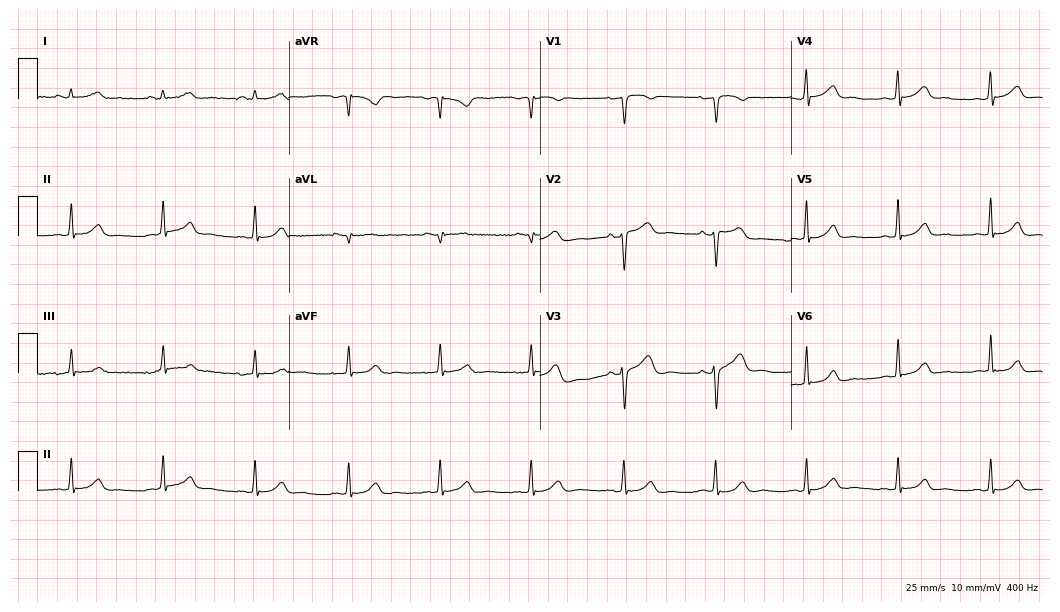
ECG (10.2-second recording at 400 Hz) — a 40-year-old female. Labelled as a normal ECG.